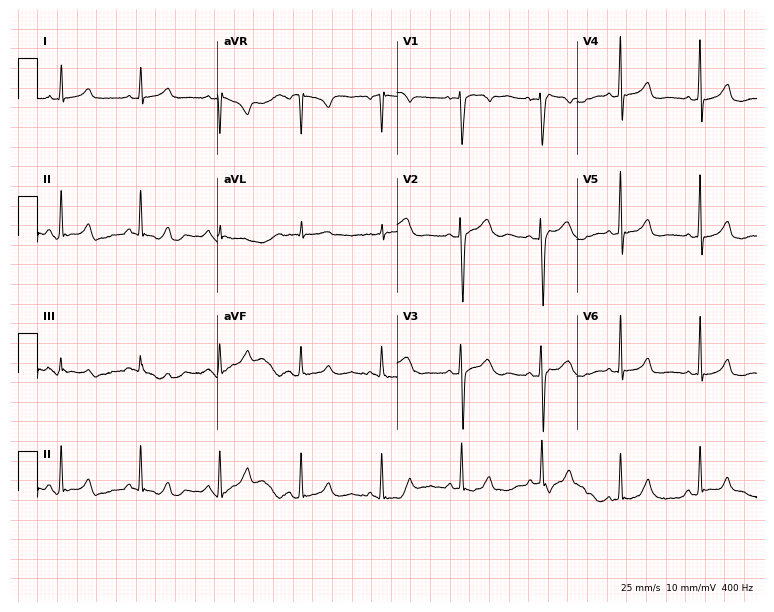
12-lead ECG from a female, 39 years old (7.3-second recording at 400 Hz). No first-degree AV block, right bundle branch block (RBBB), left bundle branch block (LBBB), sinus bradycardia, atrial fibrillation (AF) or sinus tachycardia recorded for this tracing. Other findings, if any, are not listed.